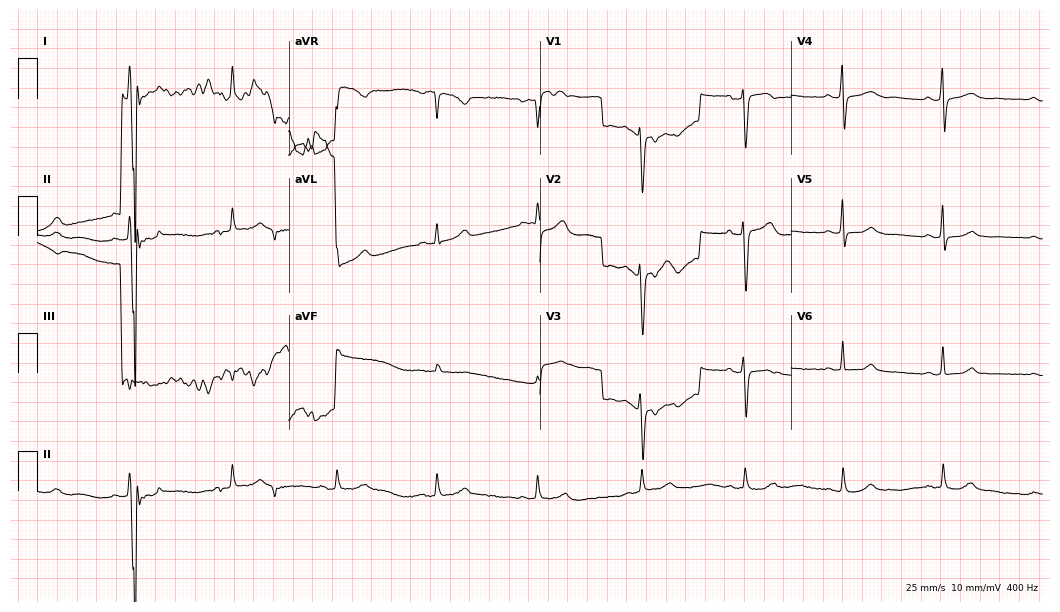
12-lead ECG (10.2-second recording at 400 Hz) from a 43-year-old female. Screened for six findings — first-degree AV block, right bundle branch block (RBBB), left bundle branch block (LBBB), sinus bradycardia, atrial fibrillation (AF), sinus tachycardia — none is recorded.